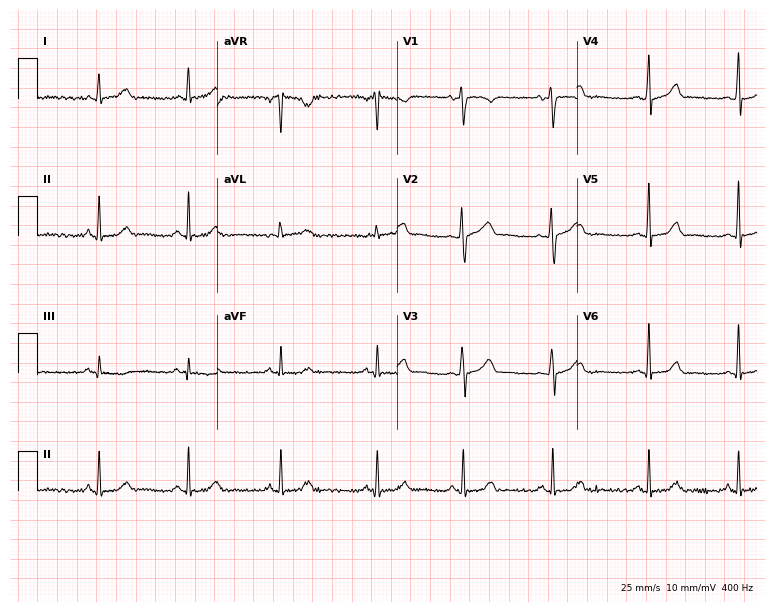
Standard 12-lead ECG recorded from a female patient, 35 years old. None of these six findings is recorded: first-degree AV block, right bundle branch block, left bundle branch block, sinus bradycardia, atrial fibrillation, sinus tachycardia.